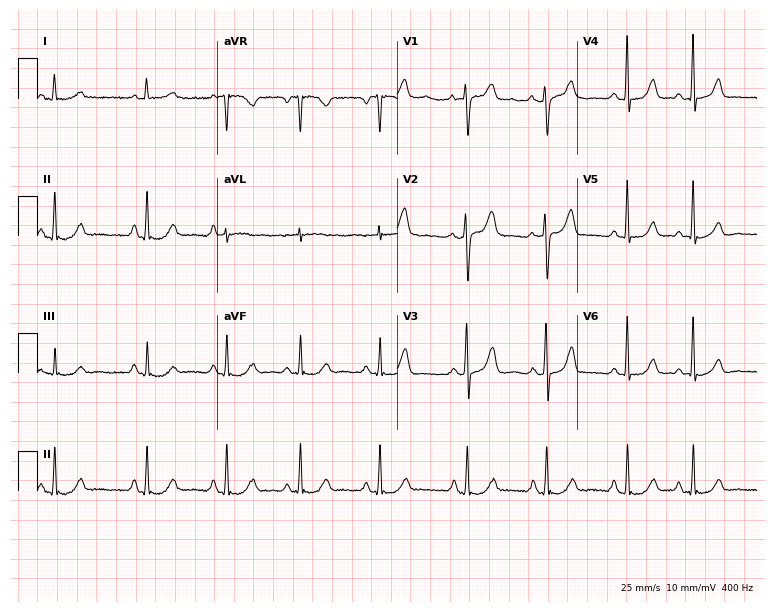
12-lead ECG from a 70-year-old female. Labelled as a normal ECG.